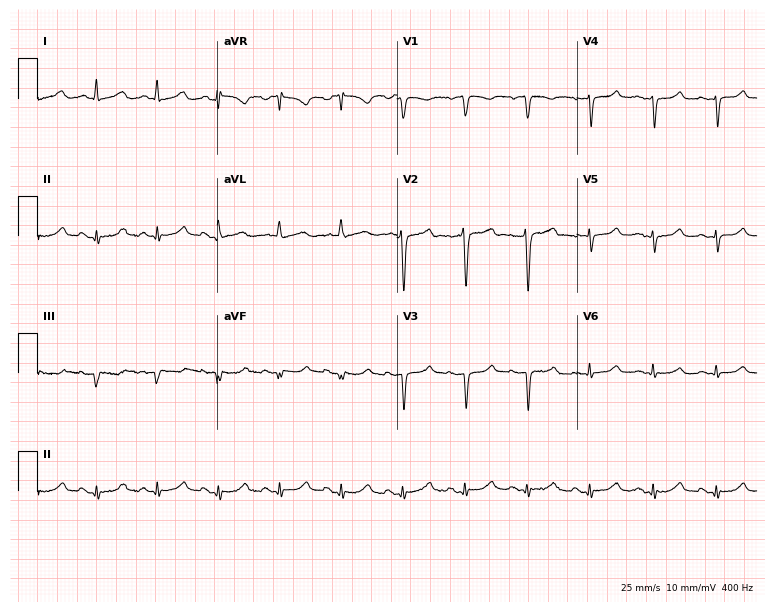
12-lead ECG from a woman, 54 years old. Screened for six findings — first-degree AV block, right bundle branch block, left bundle branch block, sinus bradycardia, atrial fibrillation, sinus tachycardia — none is recorded.